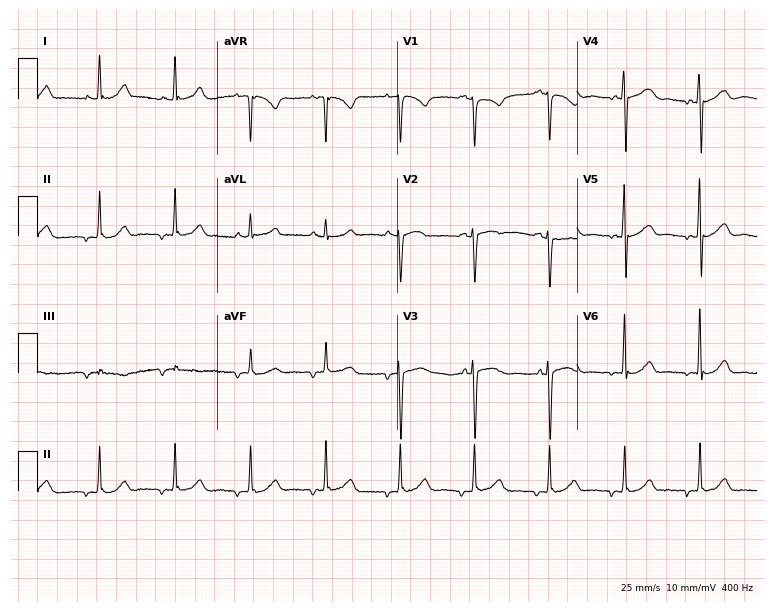
12-lead ECG from a female patient, 58 years old. No first-degree AV block, right bundle branch block, left bundle branch block, sinus bradycardia, atrial fibrillation or sinus tachycardia recorded for this tracing.